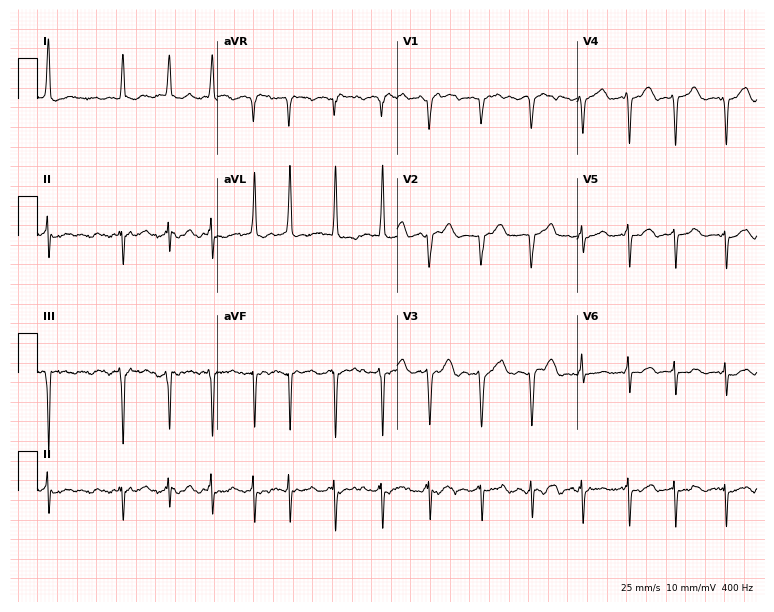
12-lead ECG (7.3-second recording at 400 Hz) from a woman, 81 years old. Findings include atrial fibrillation.